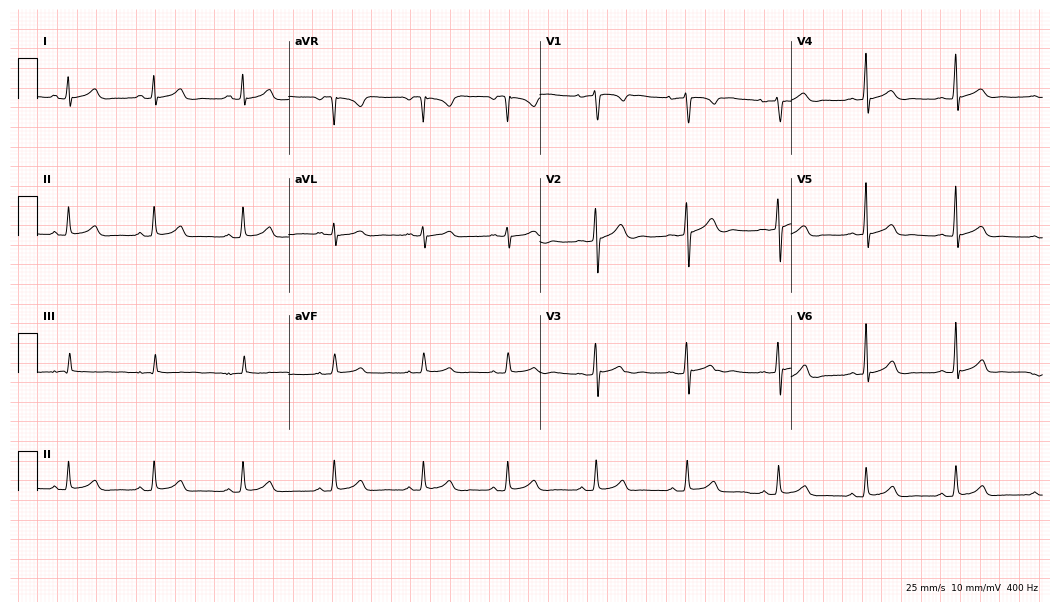
12-lead ECG from a female, 20 years old. Screened for six findings — first-degree AV block, right bundle branch block, left bundle branch block, sinus bradycardia, atrial fibrillation, sinus tachycardia — none is recorded.